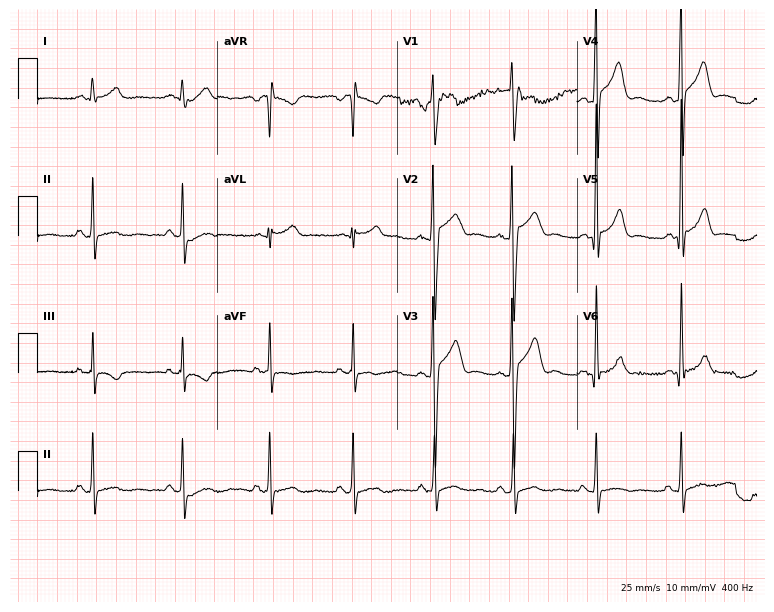
Electrocardiogram, a 28-year-old male. Of the six screened findings (first-degree AV block, right bundle branch block, left bundle branch block, sinus bradycardia, atrial fibrillation, sinus tachycardia), none is recorded. Other findings, if any, are not listed.